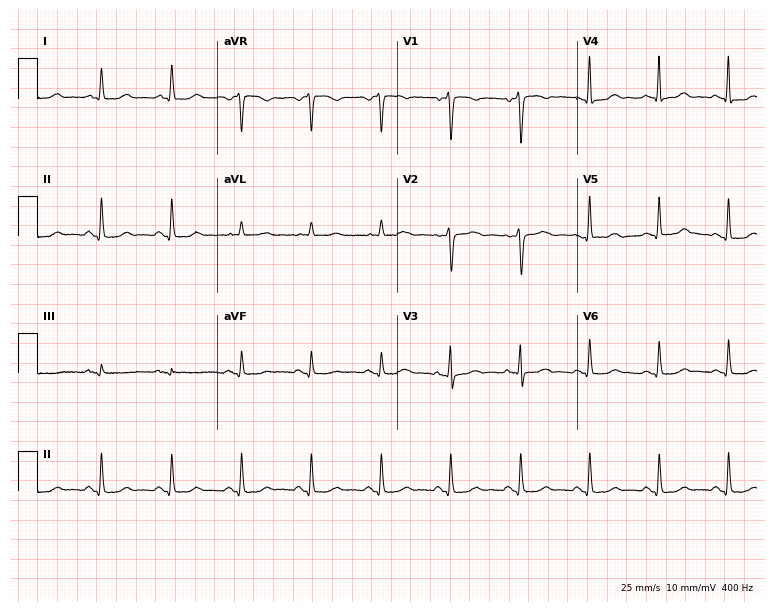
Standard 12-lead ECG recorded from a female patient, 59 years old (7.3-second recording at 400 Hz). None of these six findings is recorded: first-degree AV block, right bundle branch block, left bundle branch block, sinus bradycardia, atrial fibrillation, sinus tachycardia. Other findings, if any, are not listed.